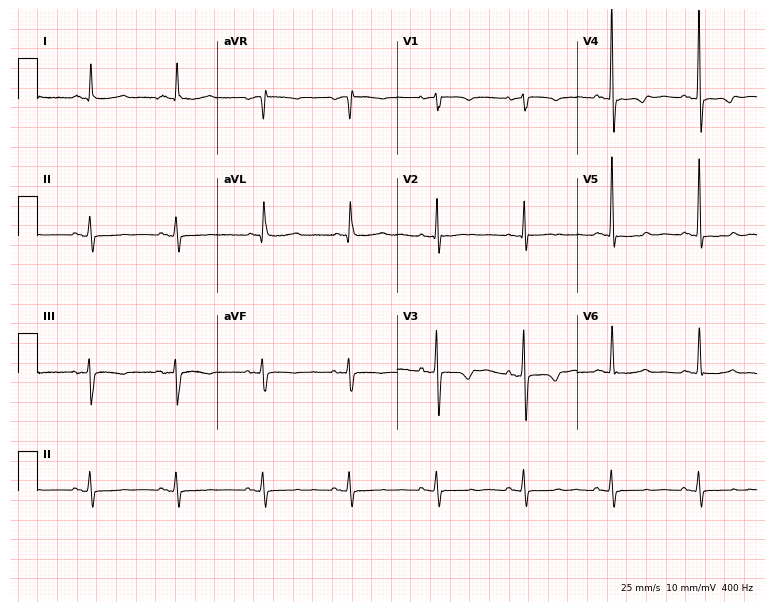
ECG (7.3-second recording at 400 Hz) — a 78-year-old female patient. Screened for six findings — first-degree AV block, right bundle branch block, left bundle branch block, sinus bradycardia, atrial fibrillation, sinus tachycardia — none is recorded.